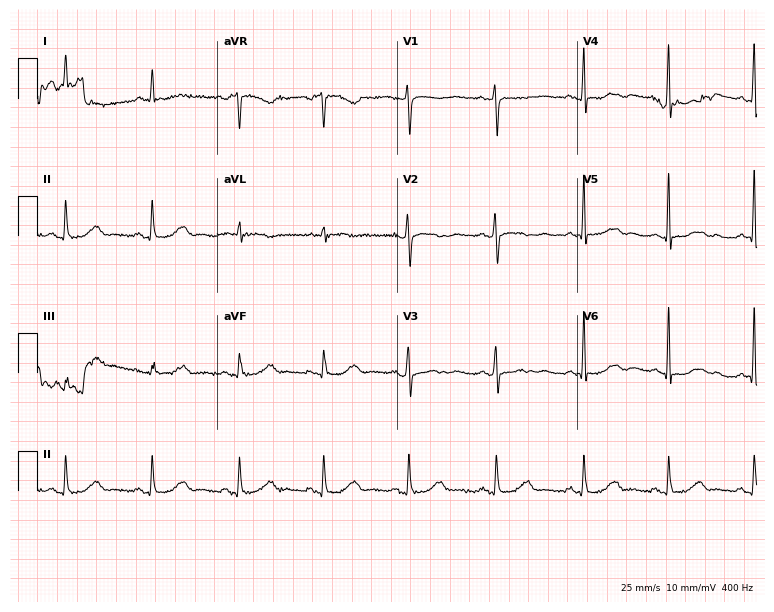
ECG (7.3-second recording at 400 Hz) — a female, 66 years old. Screened for six findings — first-degree AV block, right bundle branch block (RBBB), left bundle branch block (LBBB), sinus bradycardia, atrial fibrillation (AF), sinus tachycardia — none is recorded. Other findings, if any, are not listed.